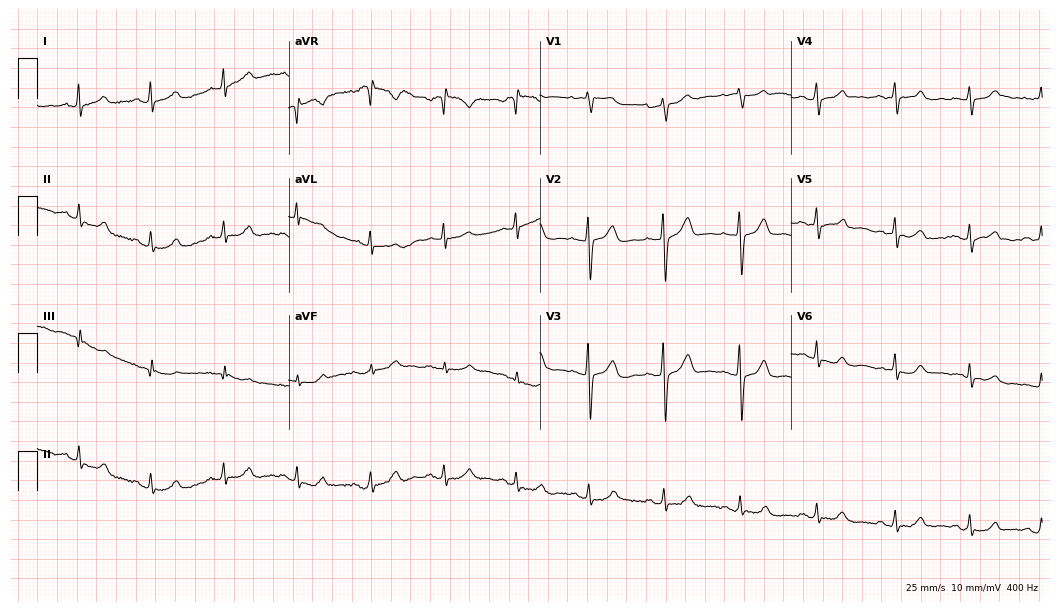
12-lead ECG from a 46-year-old woman. Labelled as a normal ECG.